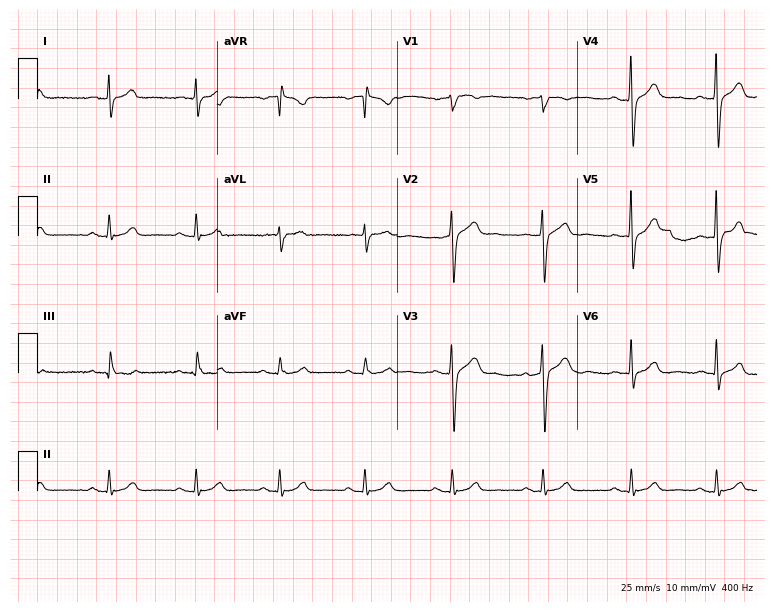
ECG (7.3-second recording at 400 Hz) — a 42-year-old male. Labelled as a normal ECG.